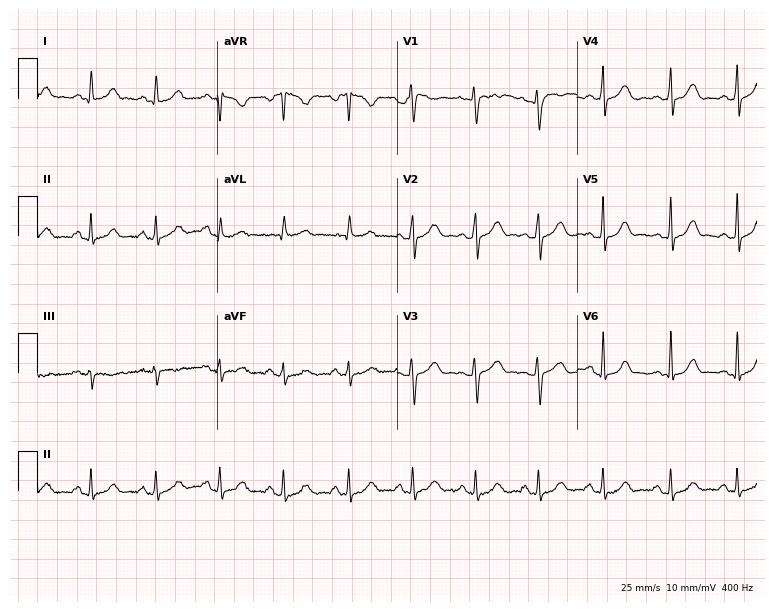
Electrocardiogram (7.3-second recording at 400 Hz), a 27-year-old female patient. Overall reading on record: normal ECG.